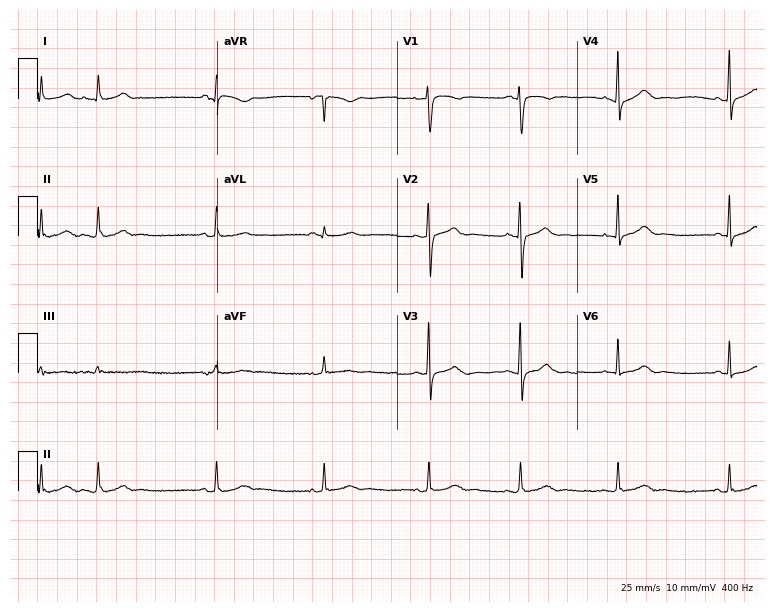
12-lead ECG (7.3-second recording at 400 Hz) from a woman, 37 years old. Labelled as a normal ECG.